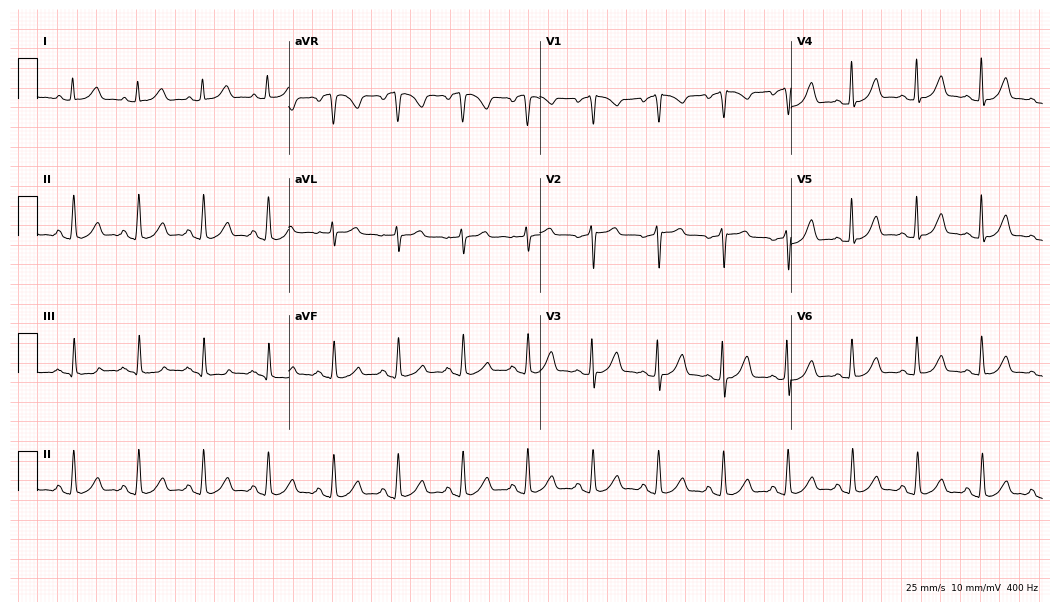
Electrocardiogram, a woman, 61 years old. Of the six screened findings (first-degree AV block, right bundle branch block (RBBB), left bundle branch block (LBBB), sinus bradycardia, atrial fibrillation (AF), sinus tachycardia), none is recorded. Only these six findings were labelled.